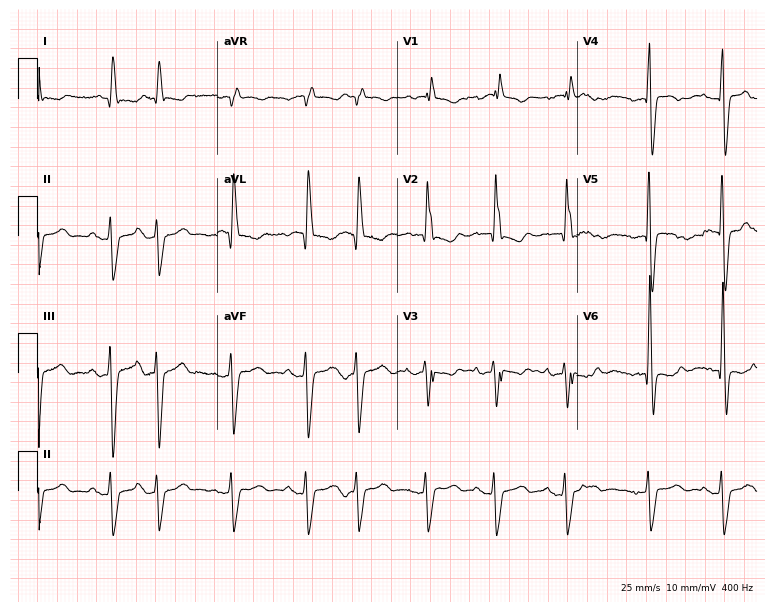
ECG (7.3-second recording at 400 Hz) — a woman, 81 years old. Findings include right bundle branch block (RBBB).